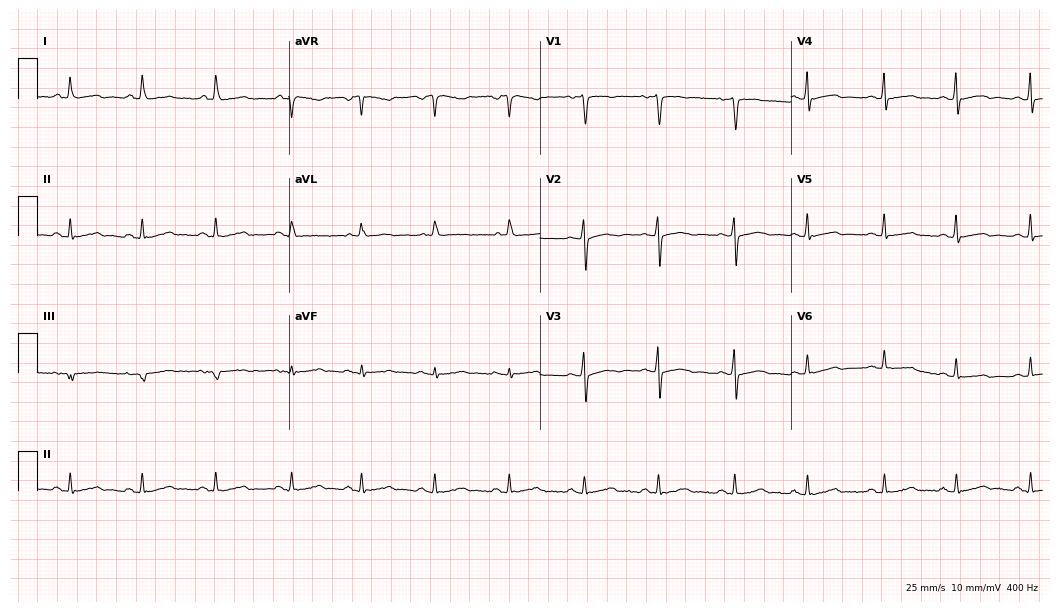
ECG — a female patient, 54 years old. Screened for six findings — first-degree AV block, right bundle branch block, left bundle branch block, sinus bradycardia, atrial fibrillation, sinus tachycardia — none is recorded. Findings outside these six are not listed.